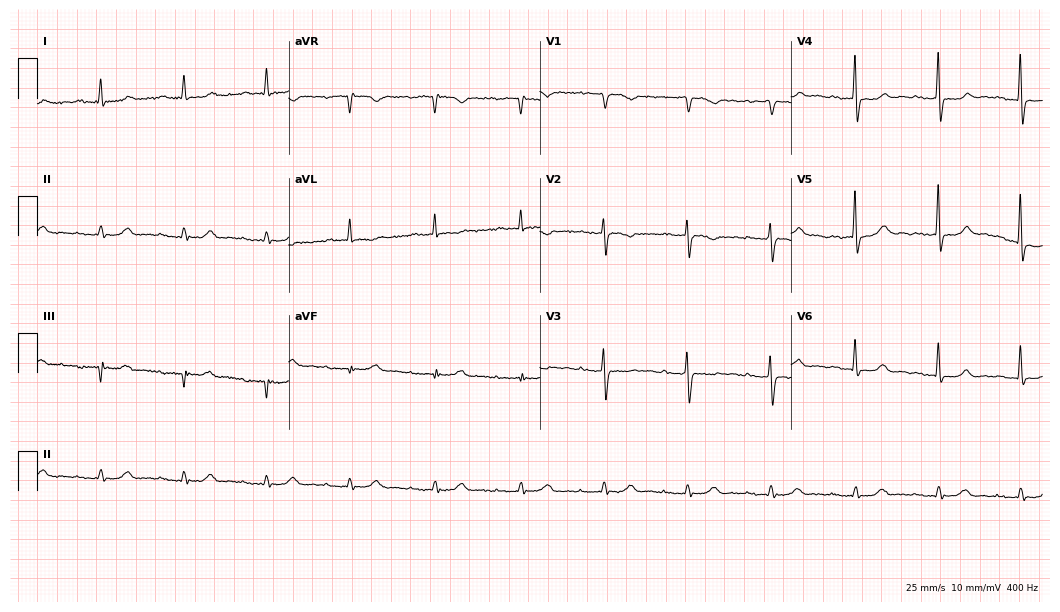
Resting 12-lead electrocardiogram (10.2-second recording at 400 Hz). Patient: a male, 82 years old. None of these six findings is recorded: first-degree AV block, right bundle branch block, left bundle branch block, sinus bradycardia, atrial fibrillation, sinus tachycardia. Other findings, if any, are not listed.